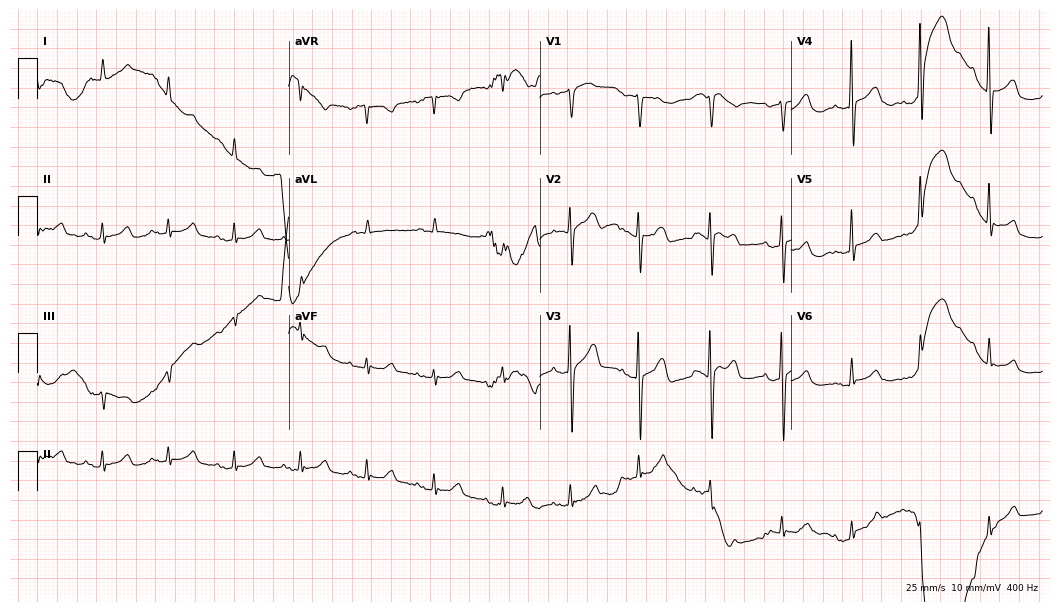
ECG (10.2-second recording at 400 Hz) — a female, 68 years old. Labelled as a normal ECG.